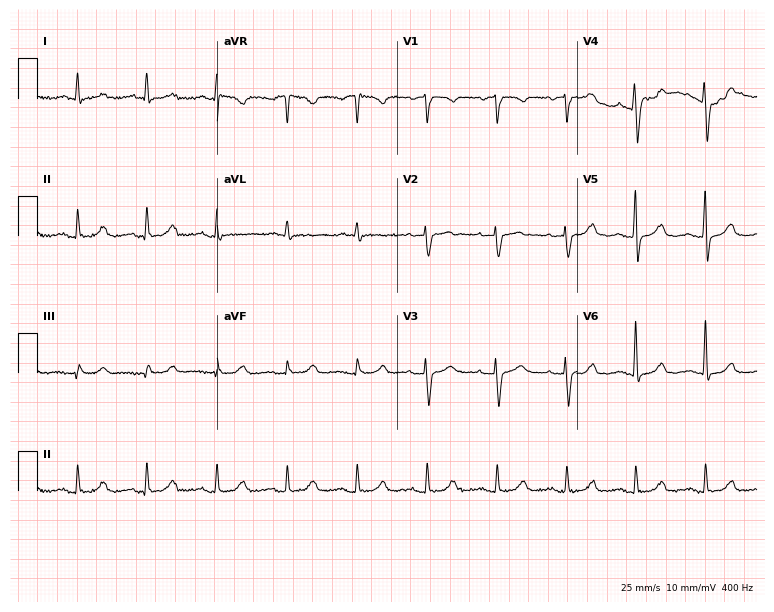
Standard 12-lead ECG recorded from a woman, 68 years old (7.3-second recording at 400 Hz). None of these six findings is recorded: first-degree AV block, right bundle branch block, left bundle branch block, sinus bradycardia, atrial fibrillation, sinus tachycardia.